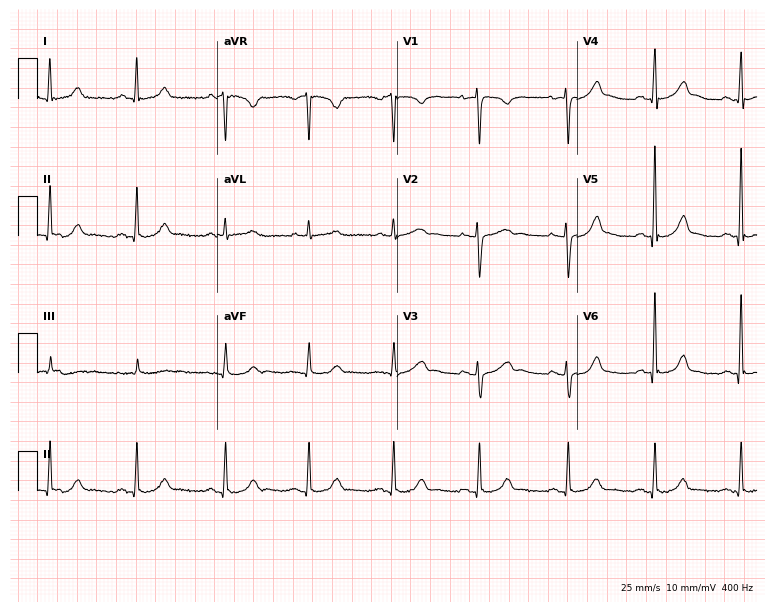
ECG (7.3-second recording at 400 Hz) — a female patient, 47 years old. Screened for six findings — first-degree AV block, right bundle branch block (RBBB), left bundle branch block (LBBB), sinus bradycardia, atrial fibrillation (AF), sinus tachycardia — none is recorded.